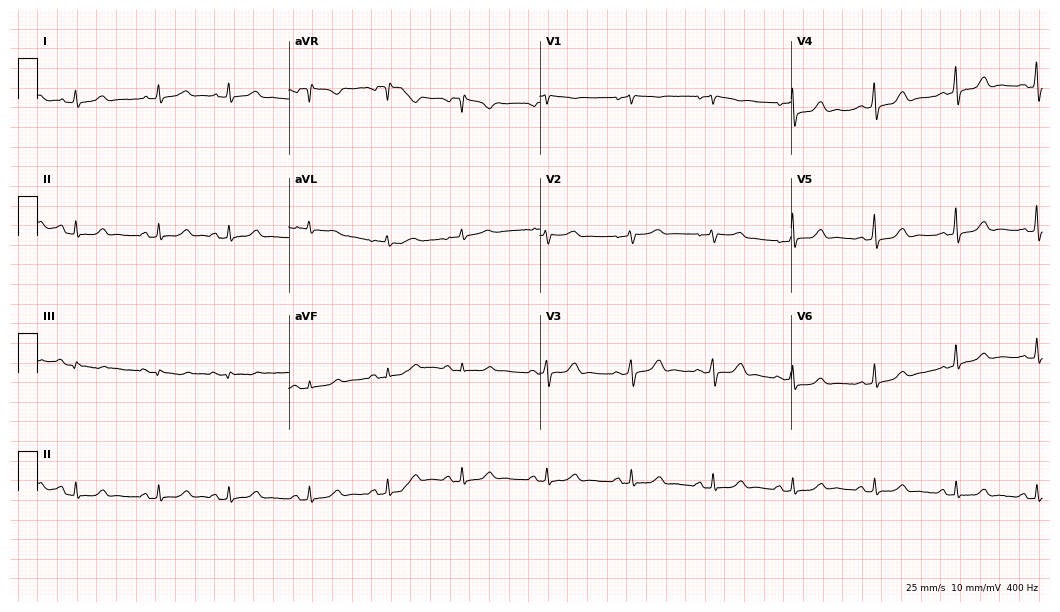
ECG — a female patient, 76 years old. Labelled as a normal ECG.